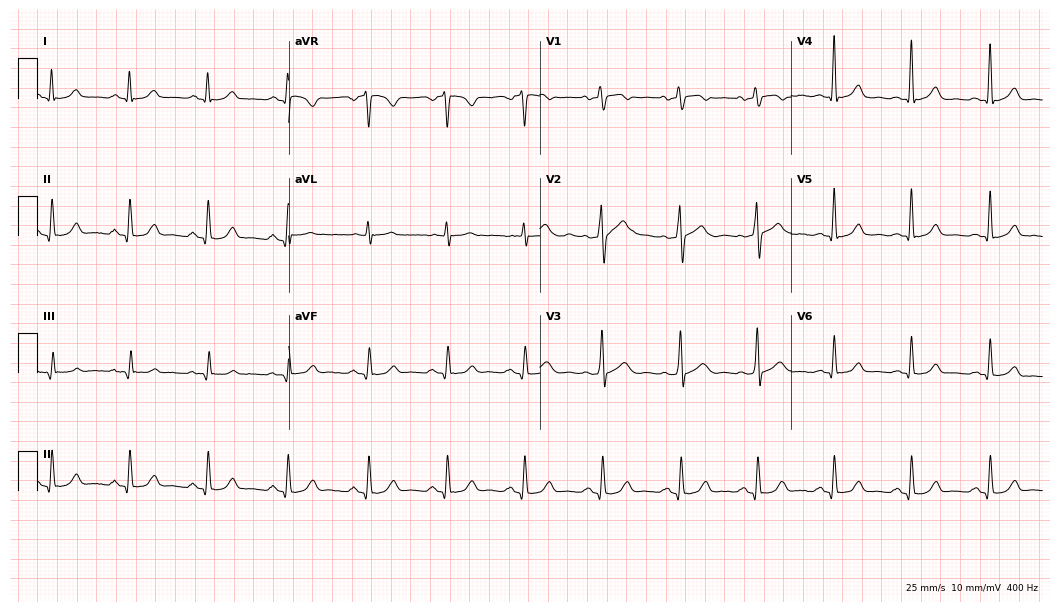
12-lead ECG (10.2-second recording at 400 Hz) from a woman, 55 years old. Labelled as a normal ECG.